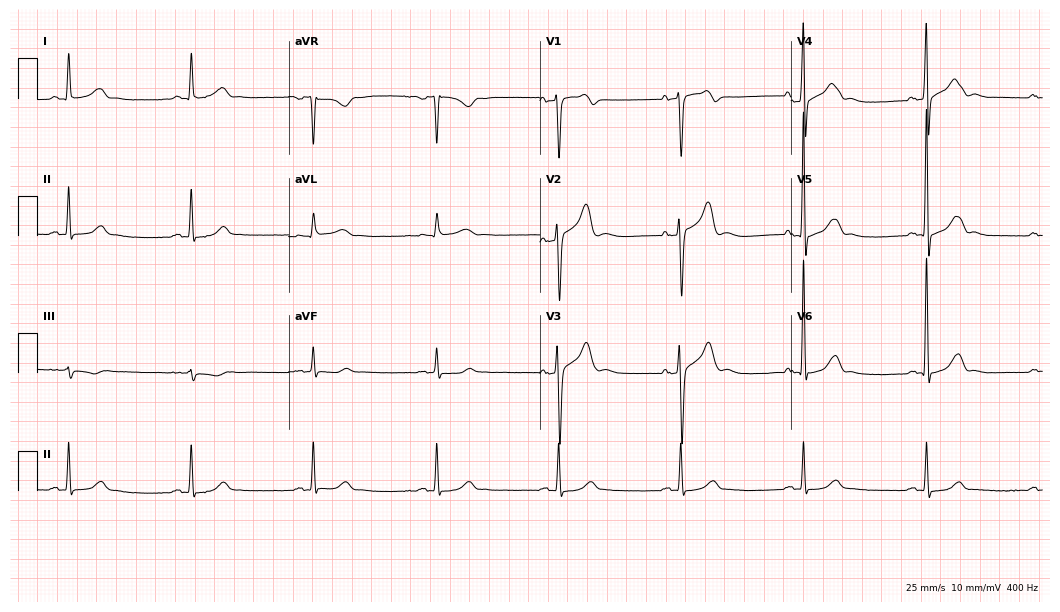
Resting 12-lead electrocardiogram (10.2-second recording at 400 Hz). Patient: a 70-year-old male. None of these six findings is recorded: first-degree AV block, right bundle branch block (RBBB), left bundle branch block (LBBB), sinus bradycardia, atrial fibrillation (AF), sinus tachycardia.